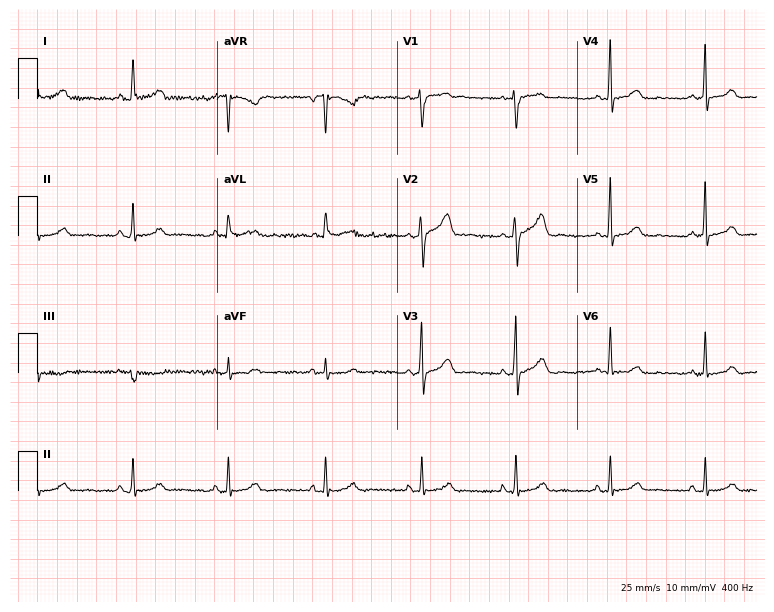
12-lead ECG from a female patient, 61 years old. Labelled as a normal ECG.